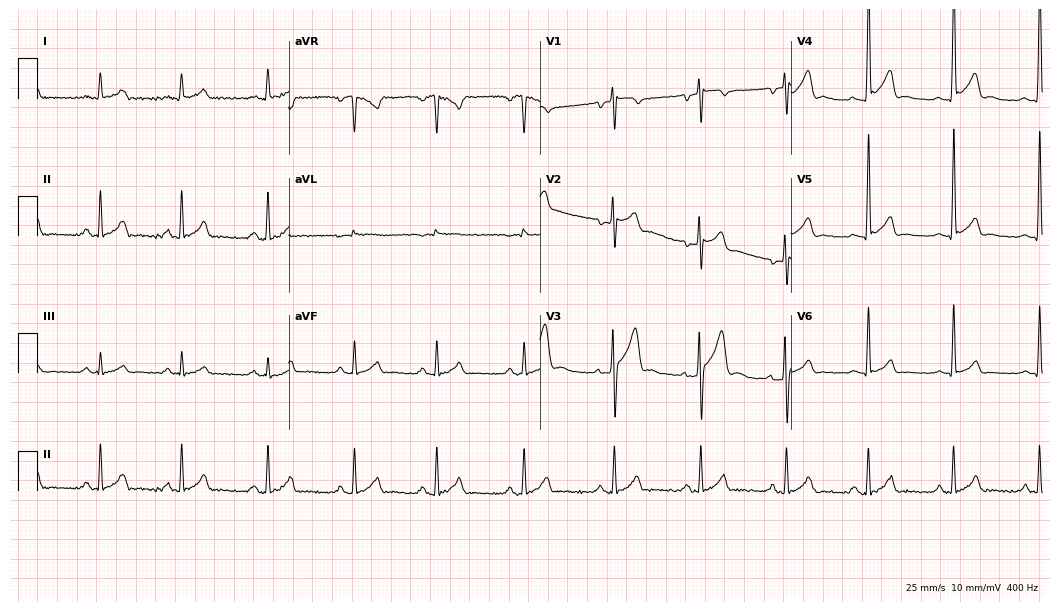
Resting 12-lead electrocardiogram. Patient: a male, 24 years old. None of these six findings is recorded: first-degree AV block, right bundle branch block, left bundle branch block, sinus bradycardia, atrial fibrillation, sinus tachycardia.